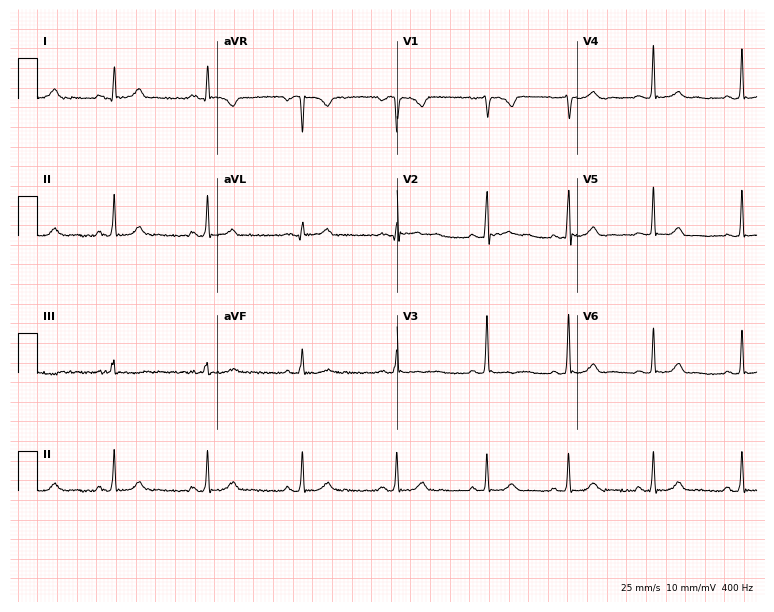
Electrocardiogram (7.3-second recording at 400 Hz), a 24-year-old woman. Of the six screened findings (first-degree AV block, right bundle branch block, left bundle branch block, sinus bradycardia, atrial fibrillation, sinus tachycardia), none is recorded.